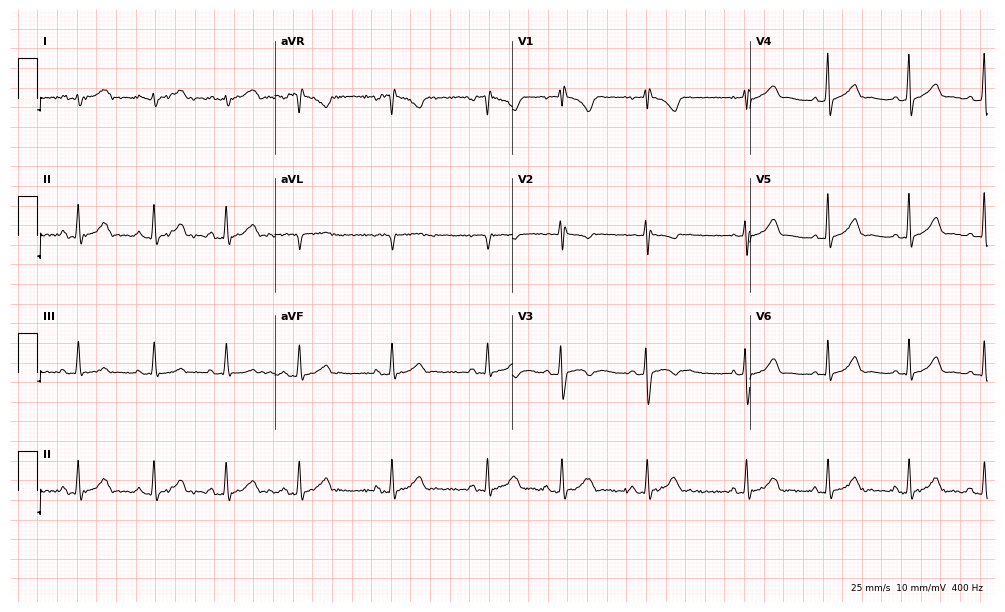
Electrocardiogram (9.7-second recording at 400 Hz), a woman, 25 years old. Overall reading on record: normal ECG.